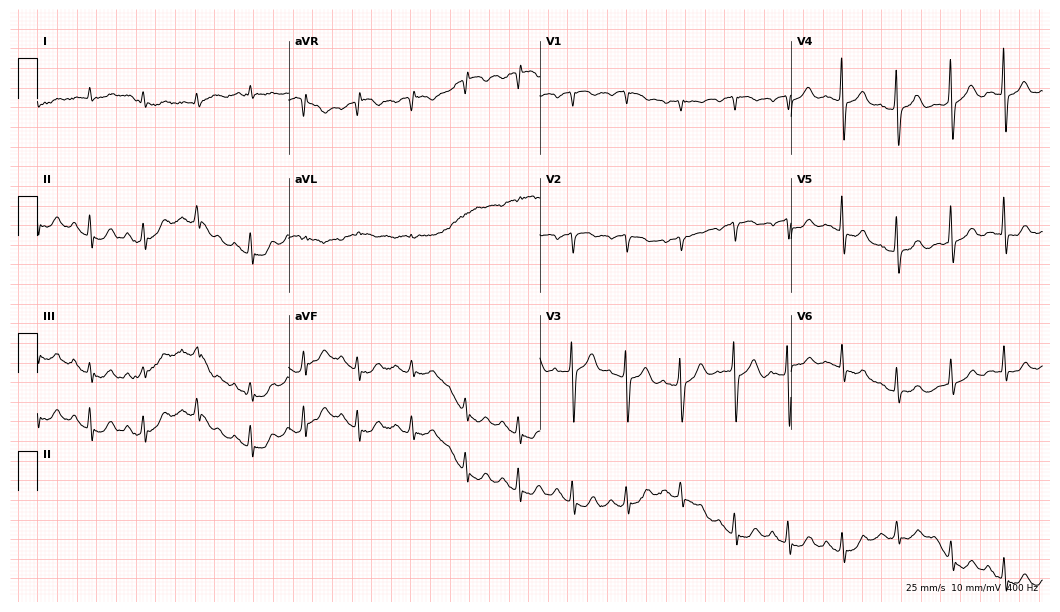
ECG — a 79-year-old male patient. Findings include sinus tachycardia (a sinus rate of 100 beats per minute or more).